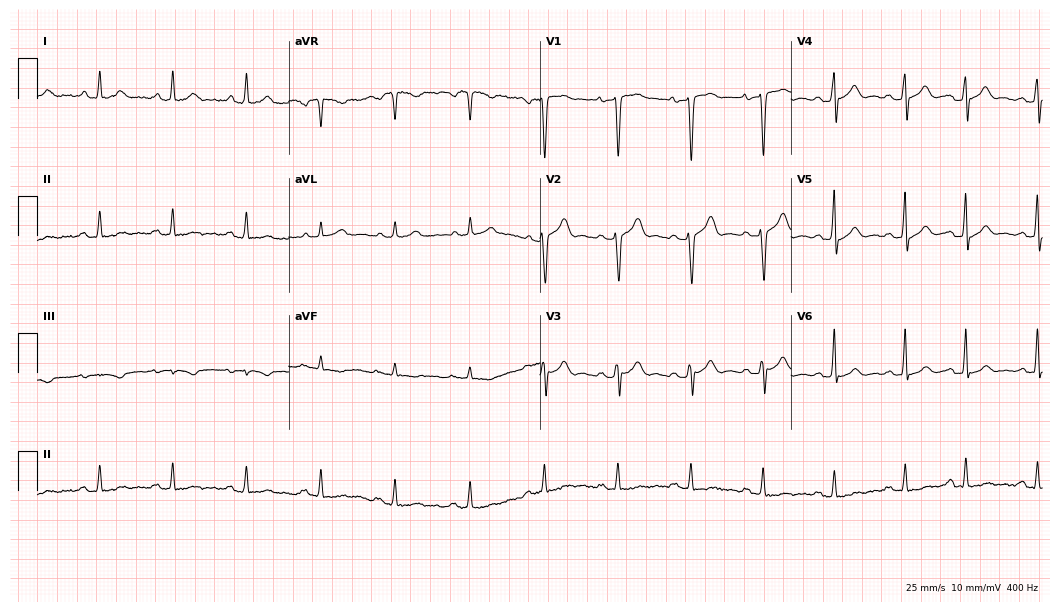
Electrocardiogram, a 47-year-old male. Of the six screened findings (first-degree AV block, right bundle branch block, left bundle branch block, sinus bradycardia, atrial fibrillation, sinus tachycardia), none is recorded.